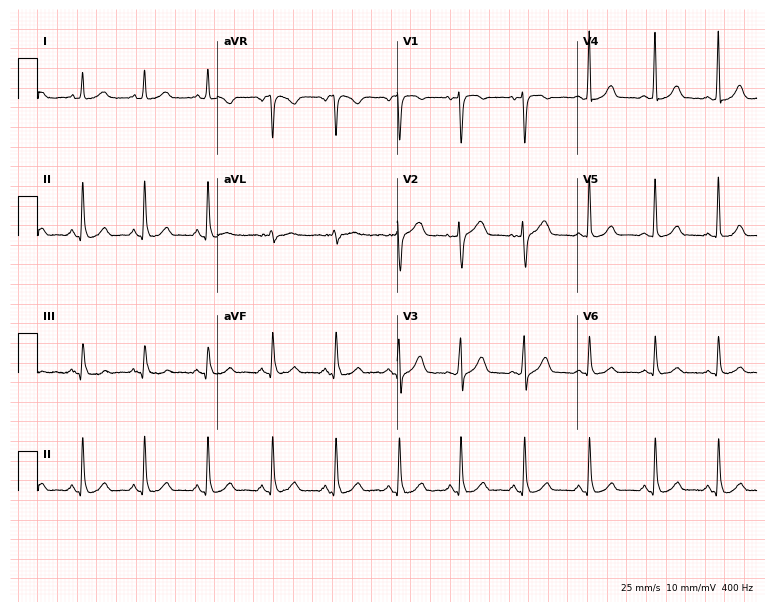
Electrocardiogram (7.3-second recording at 400 Hz), a 46-year-old female. Overall reading on record: normal ECG.